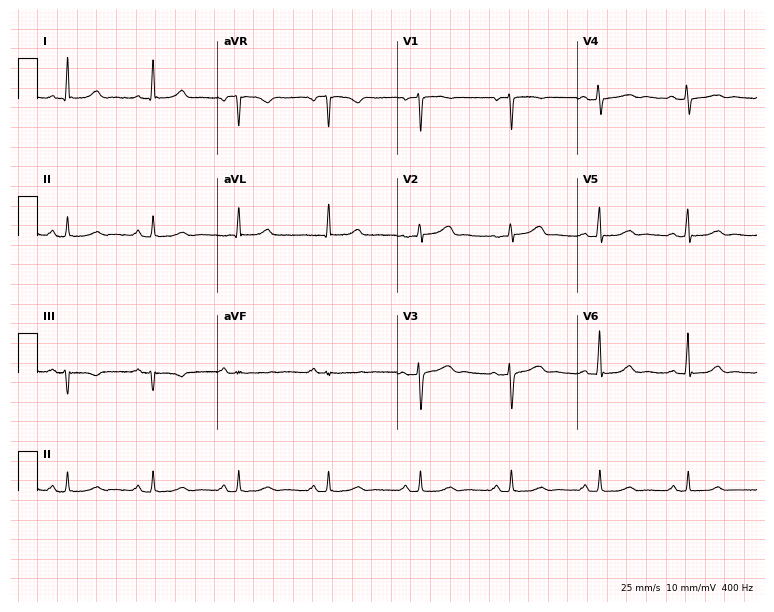
ECG — a female patient, 48 years old. Screened for six findings — first-degree AV block, right bundle branch block (RBBB), left bundle branch block (LBBB), sinus bradycardia, atrial fibrillation (AF), sinus tachycardia — none is recorded.